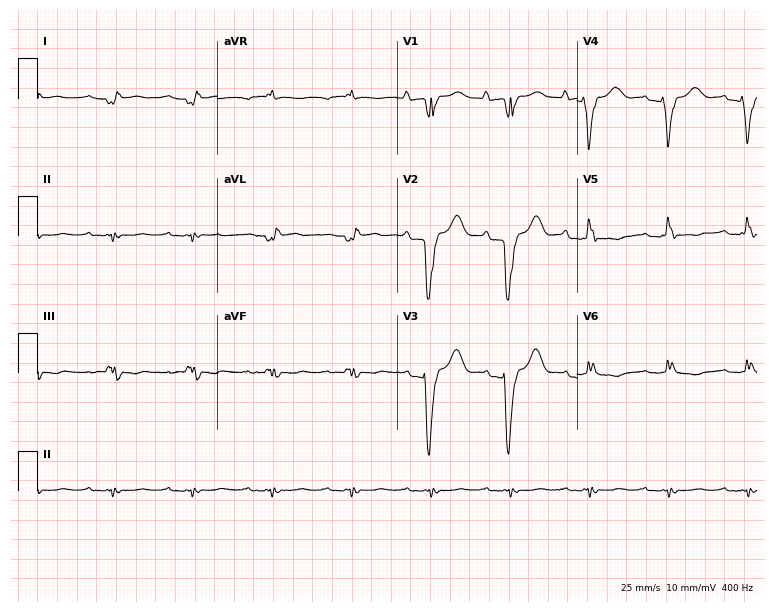
ECG (7.3-second recording at 400 Hz) — a female, 43 years old. Screened for six findings — first-degree AV block, right bundle branch block, left bundle branch block, sinus bradycardia, atrial fibrillation, sinus tachycardia — none is recorded.